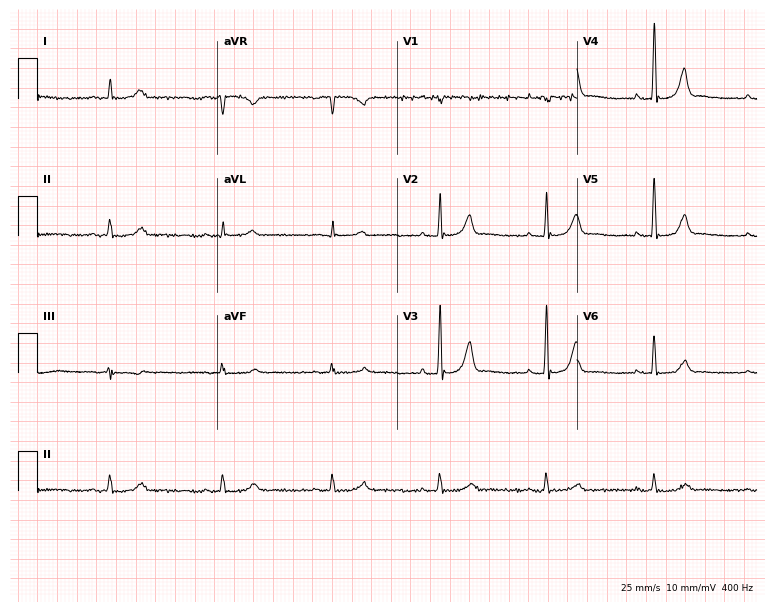
Electrocardiogram, a male patient, 76 years old. Overall reading on record: normal ECG.